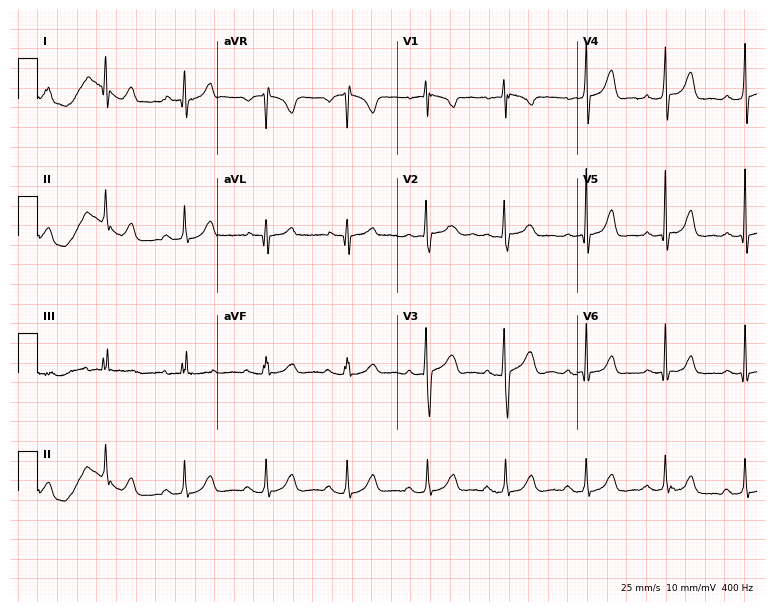
ECG — a female, 27 years old. Labelled as a normal ECG.